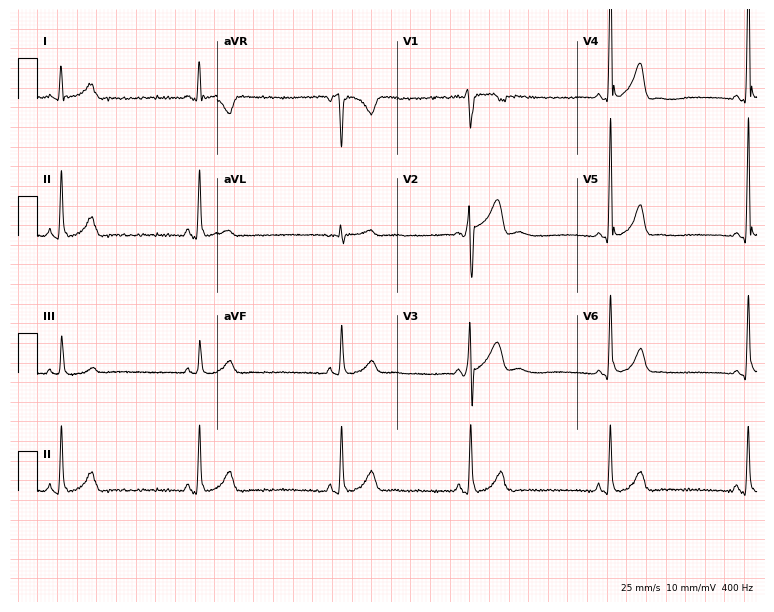
Electrocardiogram (7.3-second recording at 400 Hz), a 34-year-old male patient. Interpretation includes sinus bradycardia (a sinus rate of 50 beats per minute or less).